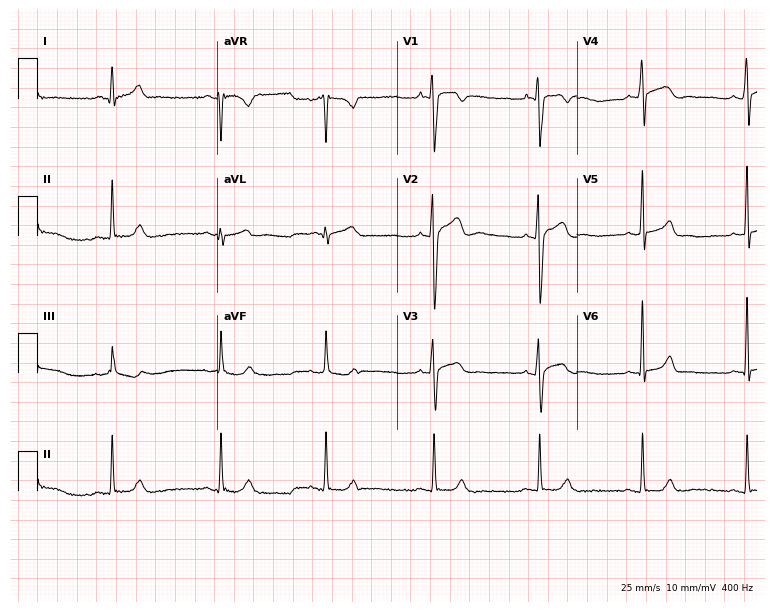
Electrocardiogram (7.3-second recording at 400 Hz), a 31-year-old man. Of the six screened findings (first-degree AV block, right bundle branch block (RBBB), left bundle branch block (LBBB), sinus bradycardia, atrial fibrillation (AF), sinus tachycardia), none is recorded. Findings outside these six are not listed.